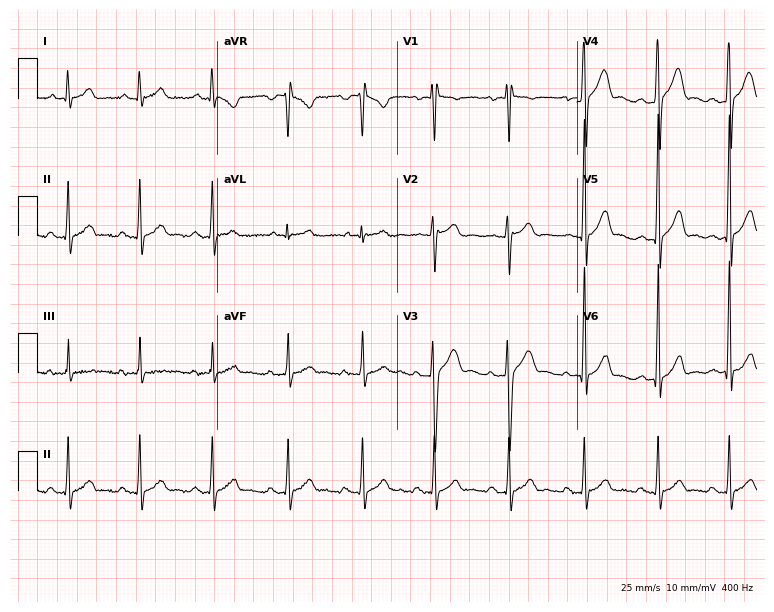
Resting 12-lead electrocardiogram. Patient: a 20-year-old male. Read as a normal ECG.